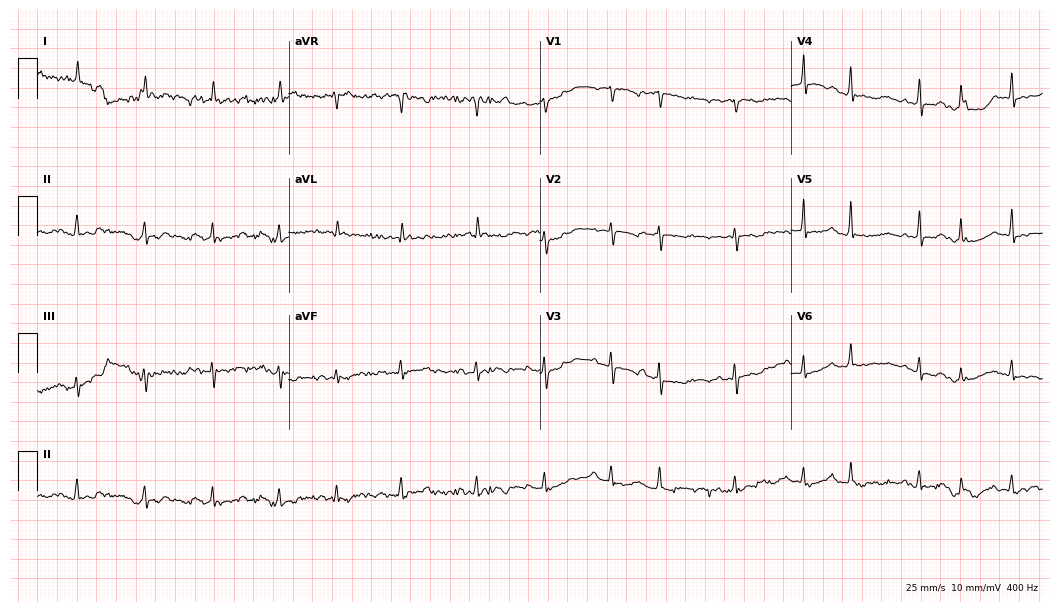
Resting 12-lead electrocardiogram (10.2-second recording at 400 Hz). Patient: an 83-year-old woman. None of these six findings is recorded: first-degree AV block, right bundle branch block (RBBB), left bundle branch block (LBBB), sinus bradycardia, atrial fibrillation (AF), sinus tachycardia. Other findings, if any, are not listed.